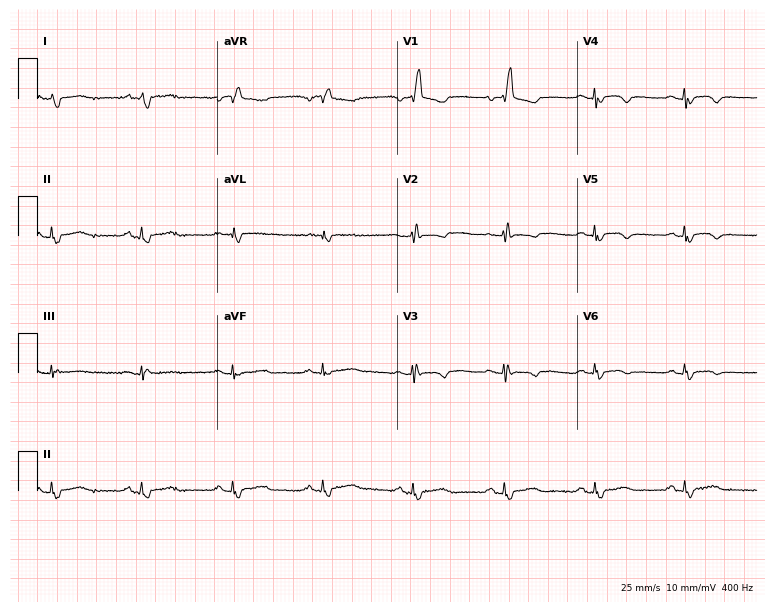
ECG — a woman, 56 years old. Screened for six findings — first-degree AV block, right bundle branch block, left bundle branch block, sinus bradycardia, atrial fibrillation, sinus tachycardia — none is recorded. Findings outside these six are not listed.